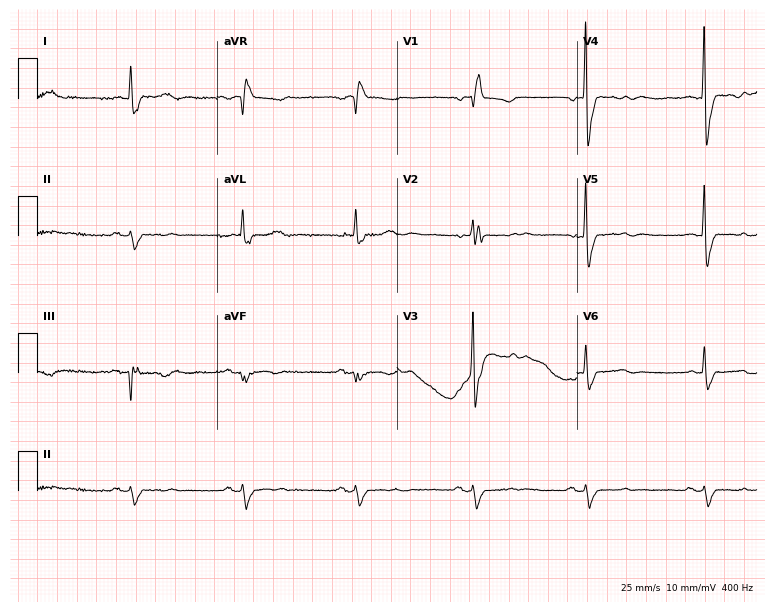
12-lead ECG from a female, 80 years old. Shows right bundle branch block.